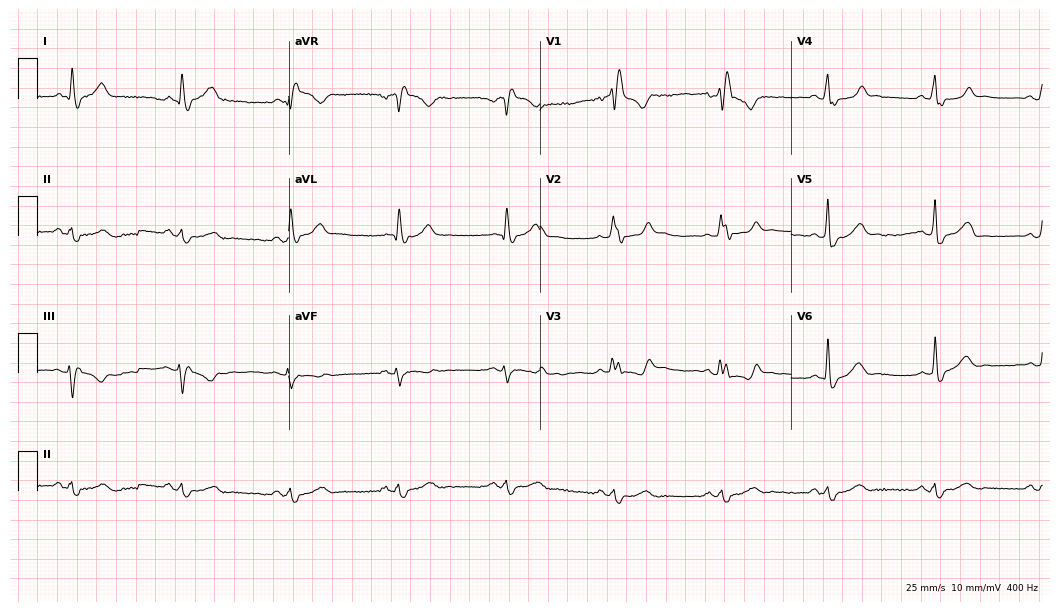
Electrocardiogram, a man, 53 years old. Interpretation includes right bundle branch block (RBBB).